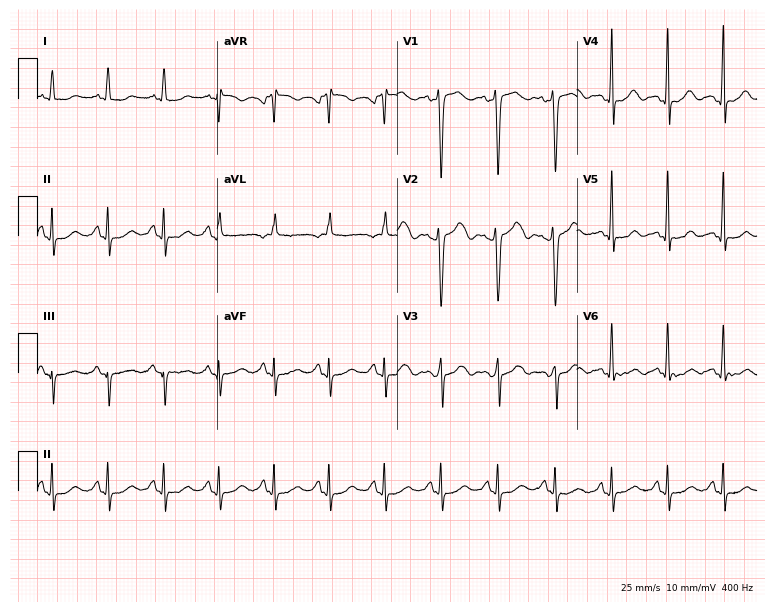
Electrocardiogram, a 52-year-old female patient. Interpretation includes sinus tachycardia (a sinus rate of 100 beats per minute or more).